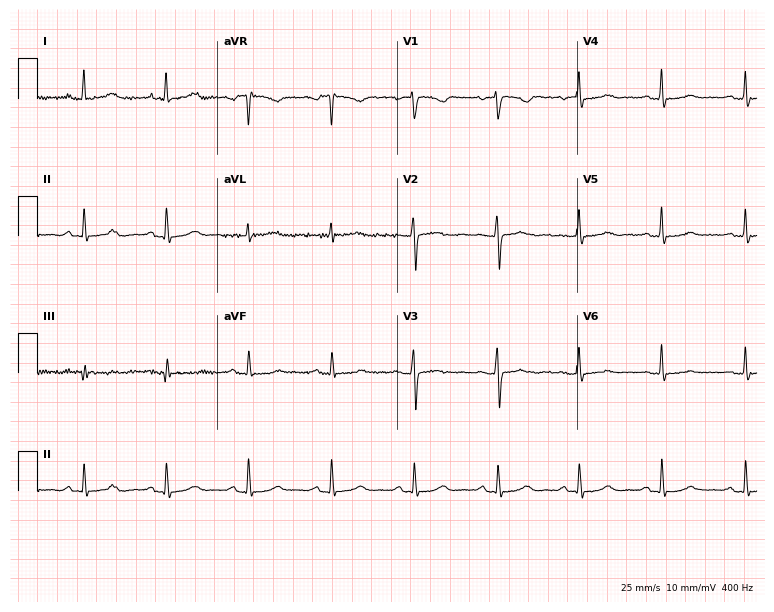
Resting 12-lead electrocardiogram (7.3-second recording at 400 Hz). Patient: a female, 58 years old. Read as a normal ECG.